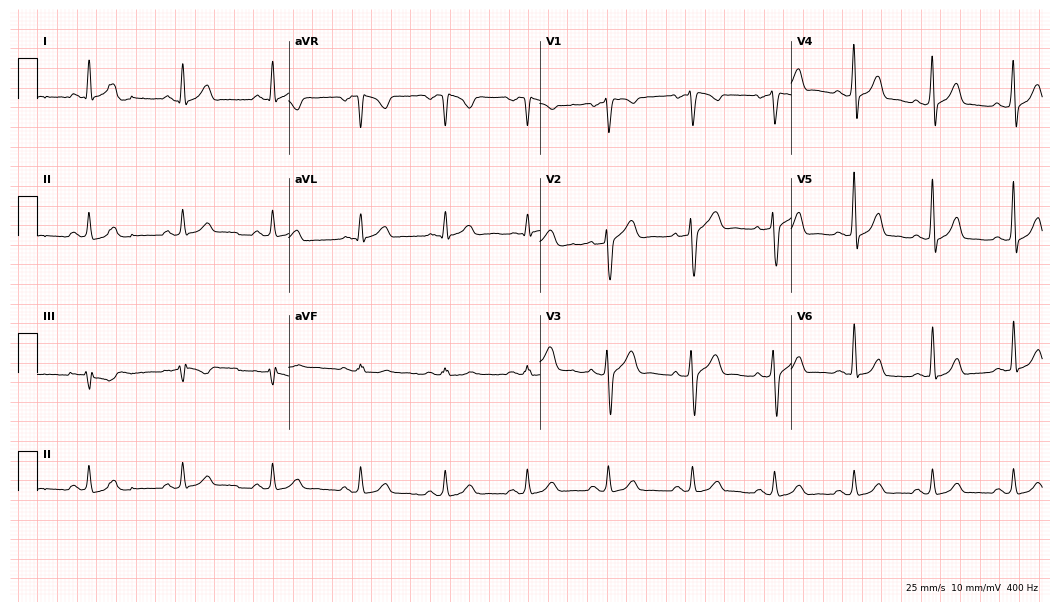
Standard 12-lead ECG recorded from a man, 39 years old (10.2-second recording at 400 Hz). Read as a normal ECG.